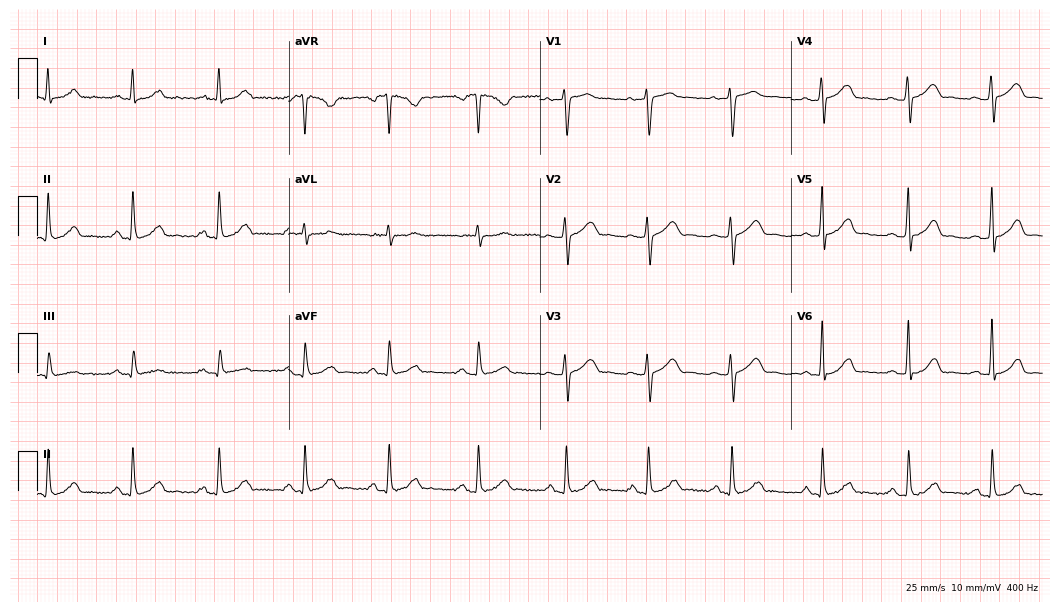
Resting 12-lead electrocardiogram (10.2-second recording at 400 Hz). Patient: a woman, 27 years old. Read as a normal ECG.